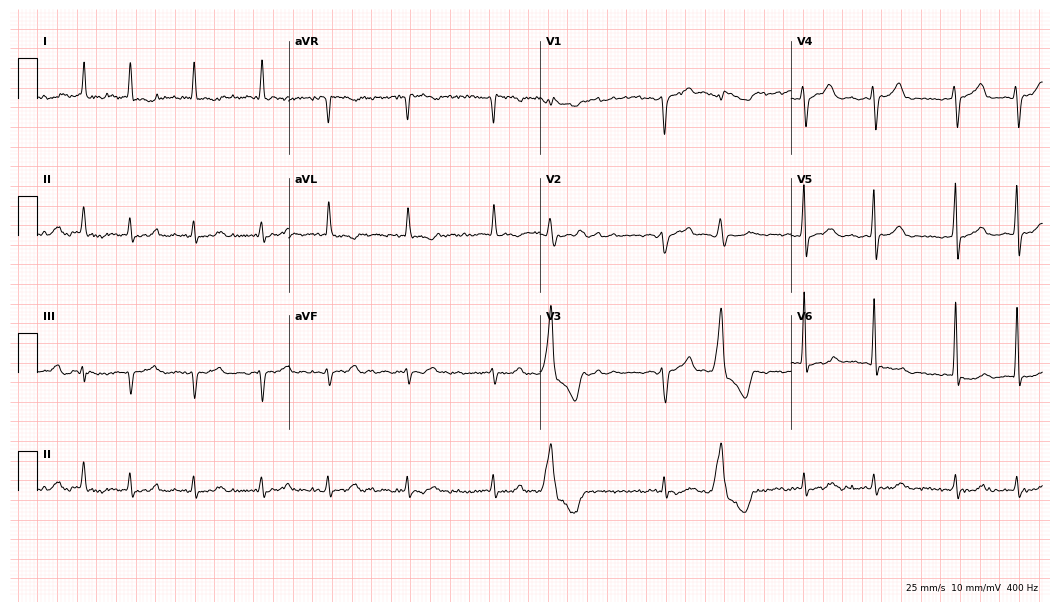
Standard 12-lead ECG recorded from a man, 79 years old (10.2-second recording at 400 Hz). The tracing shows atrial fibrillation.